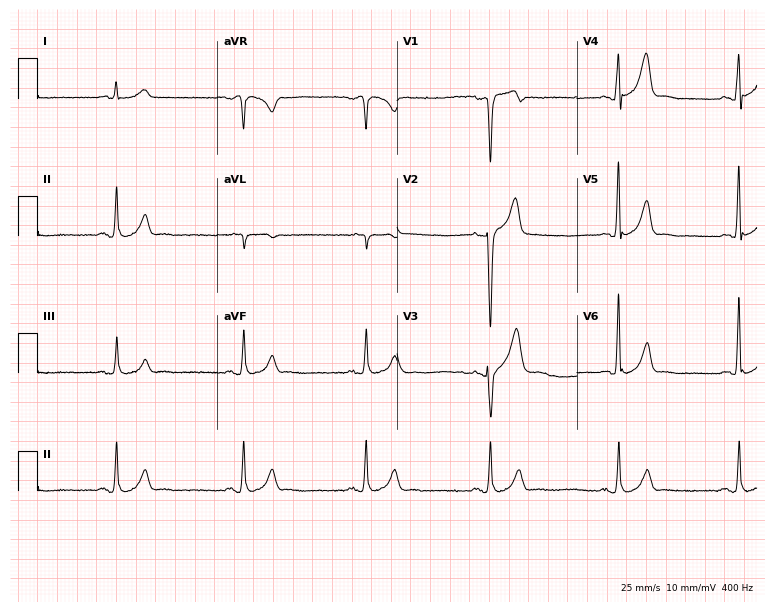
Resting 12-lead electrocardiogram. Patient: a 45-year-old male. The tracing shows sinus bradycardia (a sinus rate of 50 beats per minute or less).